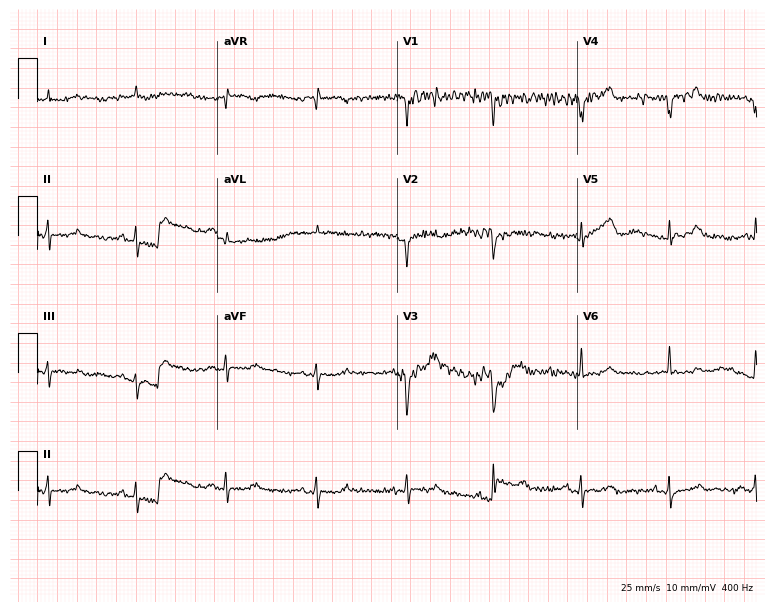
Electrocardiogram, a male, 51 years old. Of the six screened findings (first-degree AV block, right bundle branch block (RBBB), left bundle branch block (LBBB), sinus bradycardia, atrial fibrillation (AF), sinus tachycardia), none is recorded. Other findings, if any, are not listed.